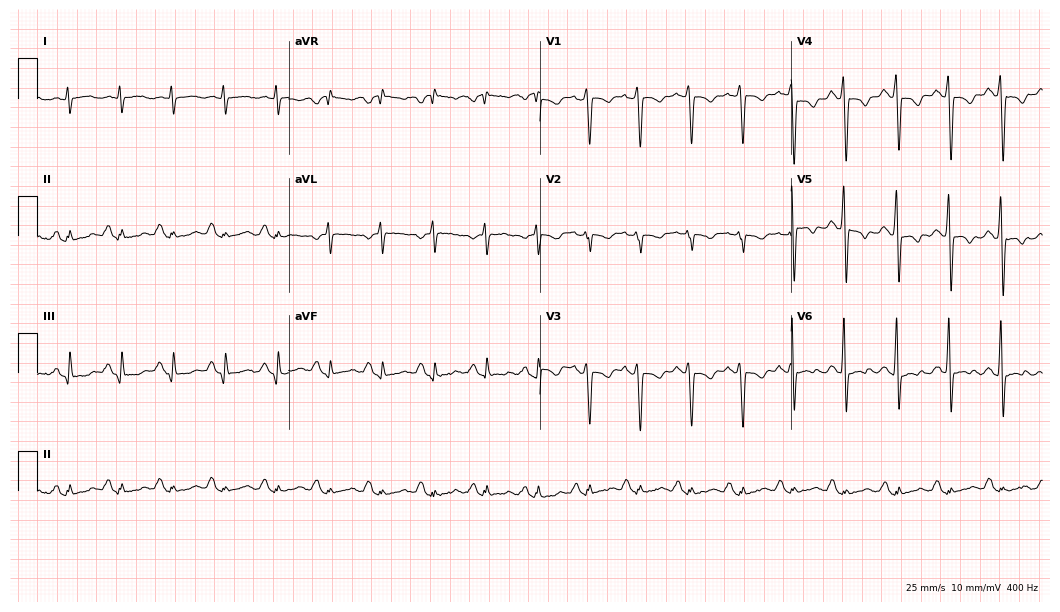
12-lead ECG (10.2-second recording at 400 Hz) from a 58-year-old male. Findings include sinus tachycardia (a sinus rate of 100 beats per minute or more).